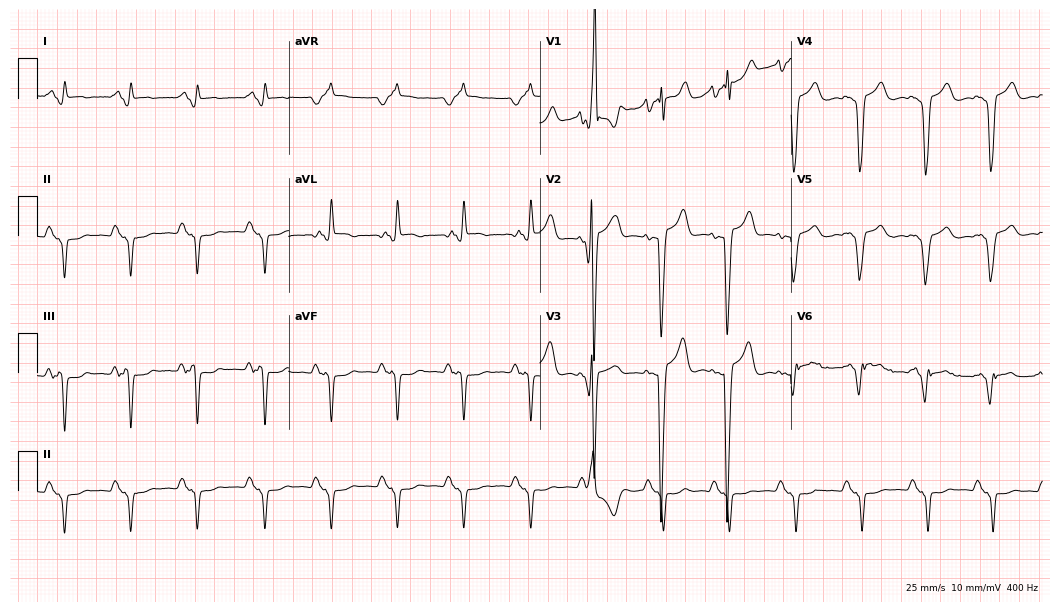
ECG — a male, 57 years old. Screened for six findings — first-degree AV block, right bundle branch block, left bundle branch block, sinus bradycardia, atrial fibrillation, sinus tachycardia — none is recorded.